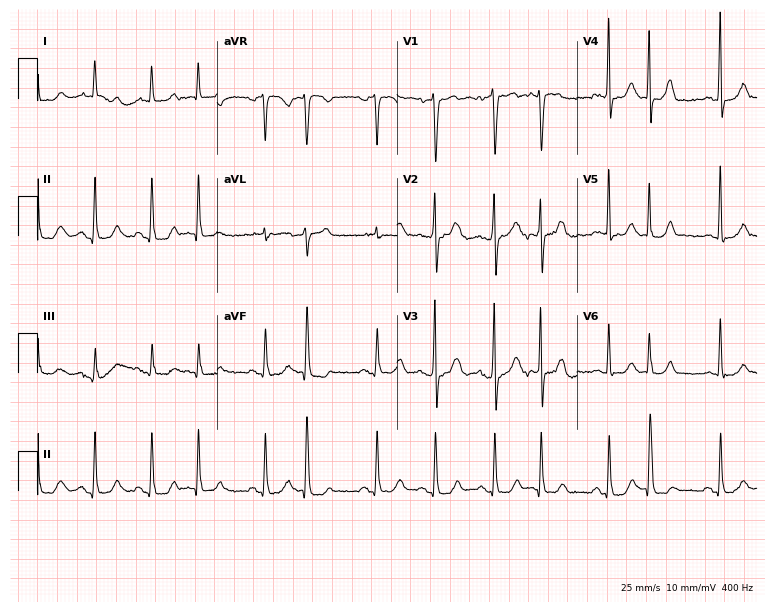
Electrocardiogram, a man, 83 years old. Of the six screened findings (first-degree AV block, right bundle branch block (RBBB), left bundle branch block (LBBB), sinus bradycardia, atrial fibrillation (AF), sinus tachycardia), none is recorded.